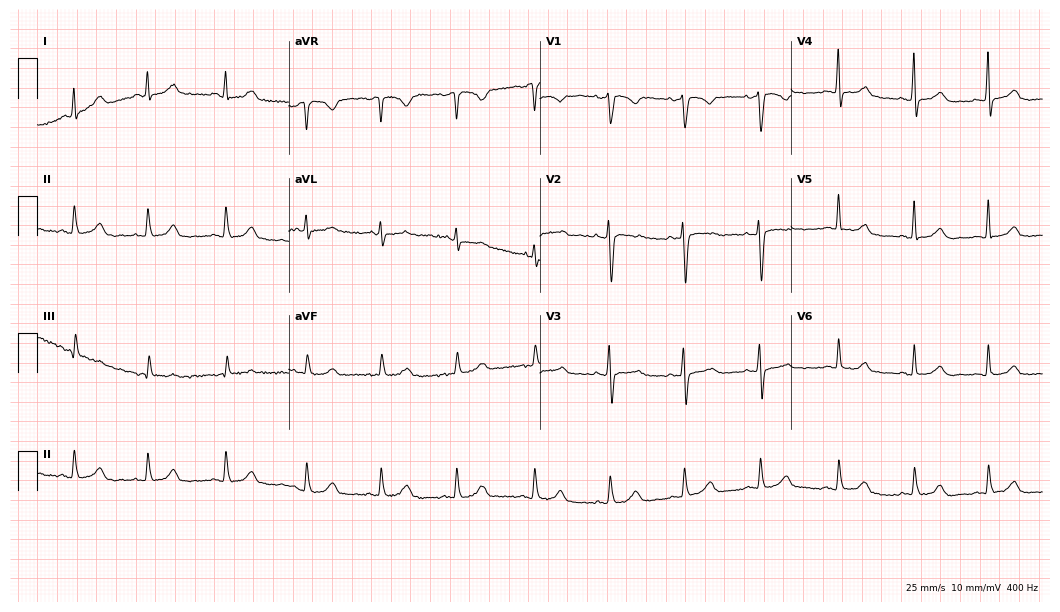
Electrocardiogram, a female, 57 years old. Overall reading on record: normal ECG.